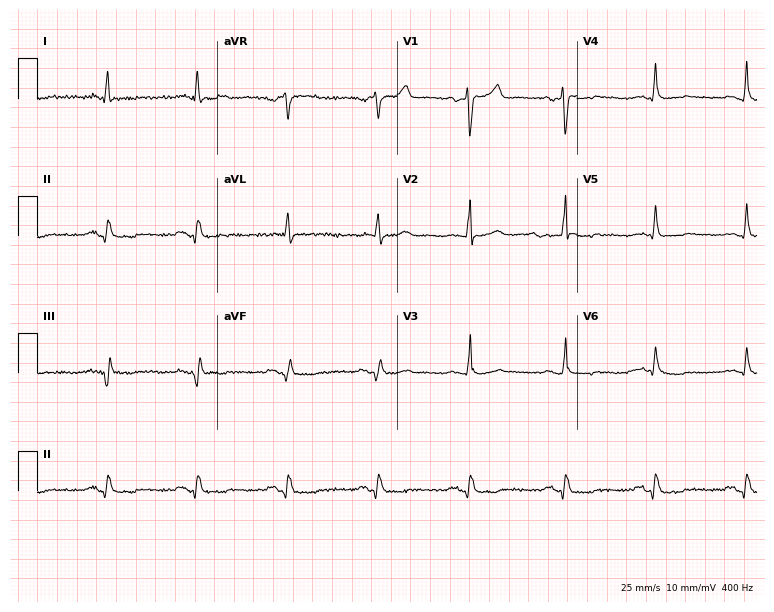
Resting 12-lead electrocardiogram (7.3-second recording at 400 Hz). Patient: a male, 70 years old. None of these six findings is recorded: first-degree AV block, right bundle branch block (RBBB), left bundle branch block (LBBB), sinus bradycardia, atrial fibrillation (AF), sinus tachycardia. Only these six findings were labelled.